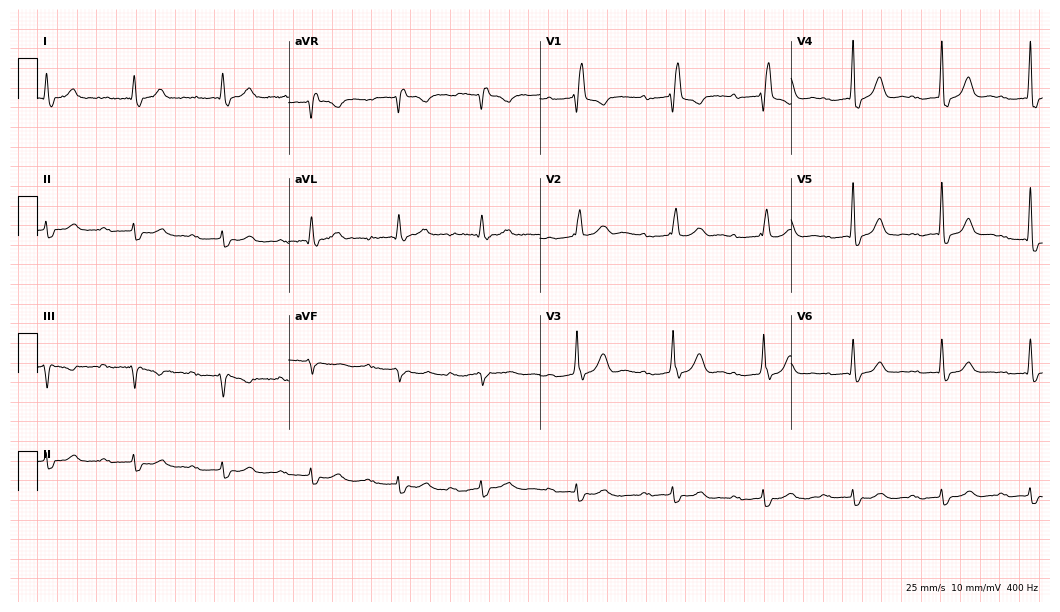
Electrocardiogram (10.2-second recording at 400 Hz), a man, 64 years old. Interpretation includes first-degree AV block, right bundle branch block (RBBB).